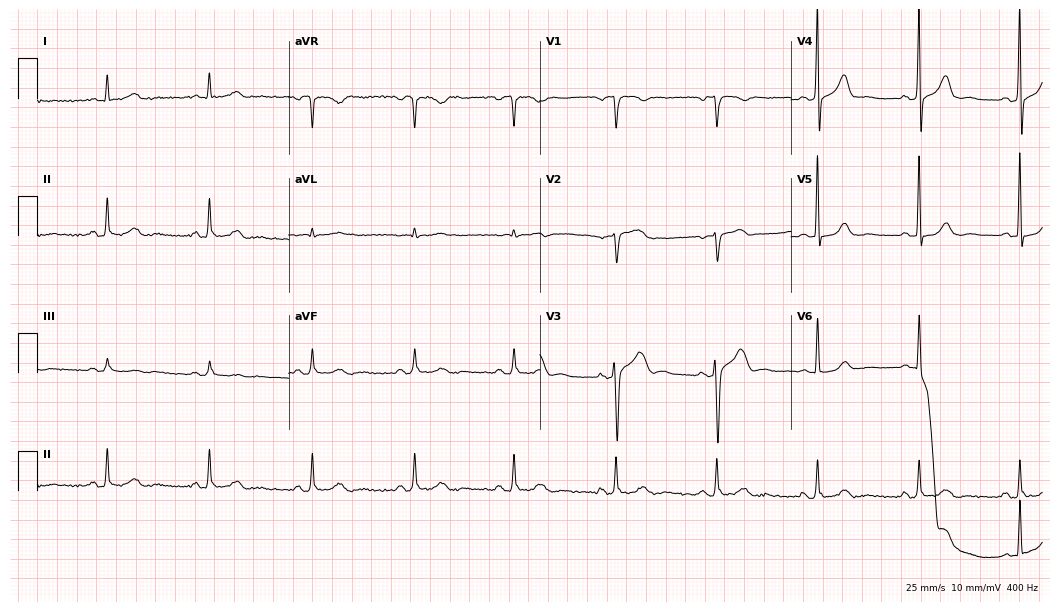
ECG — a 66-year-old male patient. Screened for six findings — first-degree AV block, right bundle branch block (RBBB), left bundle branch block (LBBB), sinus bradycardia, atrial fibrillation (AF), sinus tachycardia — none is recorded.